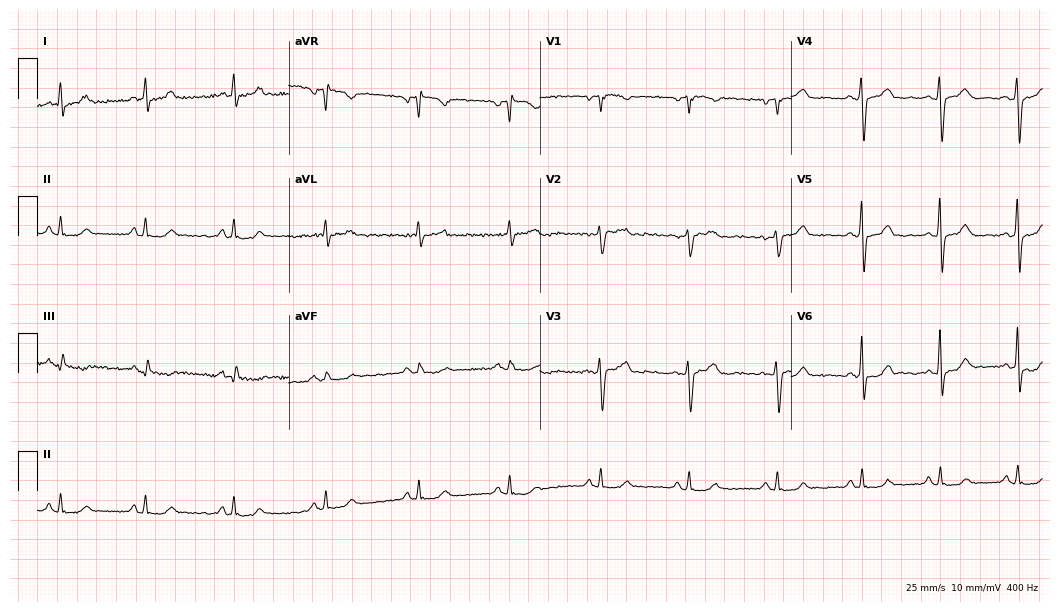
12-lead ECG from a 49-year-old female patient. Recorded interpretation: within normal limits.